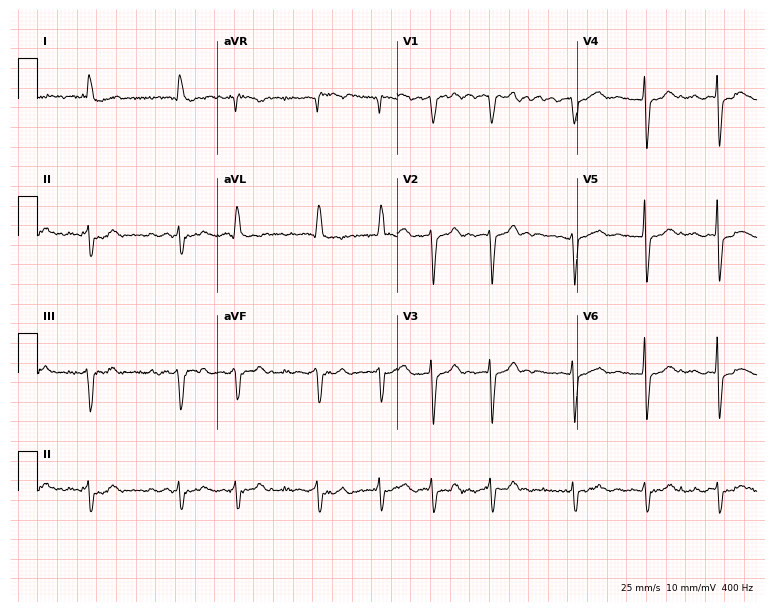
Resting 12-lead electrocardiogram (7.3-second recording at 400 Hz). Patient: an 81-year-old female. The tracing shows atrial fibrillation.